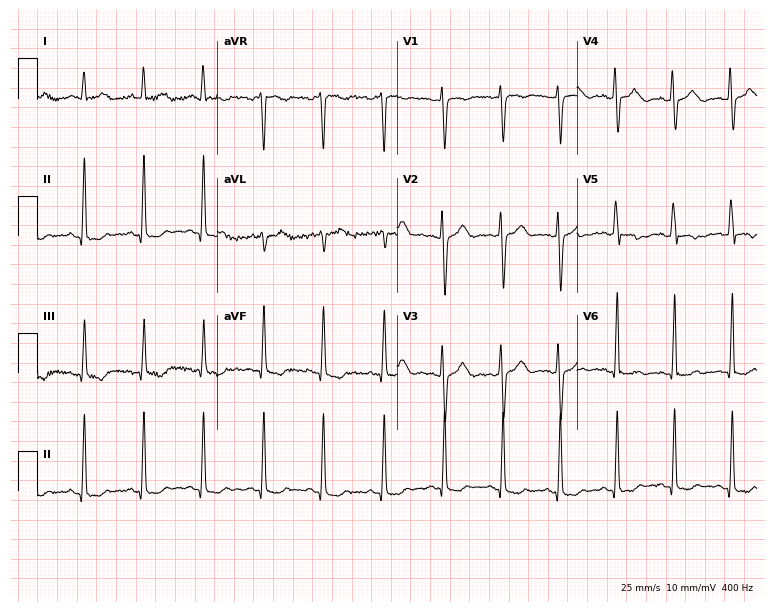
Standard 12-lead ECG recorded from a 28-year-old female patient (7.3-second recording at 400 Hz). None of these six findings is recorded: first-degree AV block, right bundle branch block (RBBB), left bundle branch block (LBBB), sinus bradycardia, atrial fibrillation (AF), sinus tachycardia. Only these six findings were labelled.